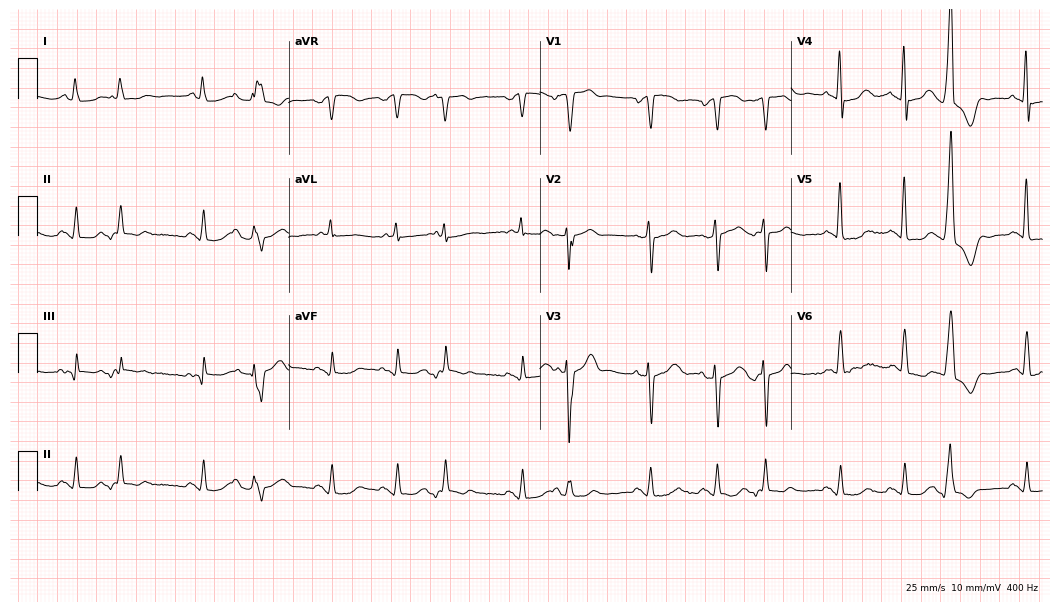
ECG — an 82-year-old male. Screened for six findings — first-degree AV block, right bundle branch block (RBBB), left bundle branch block (LBBB), sinus bradycardia, atrial fibrillation (AF), sinus tachycardia — none is recorded.